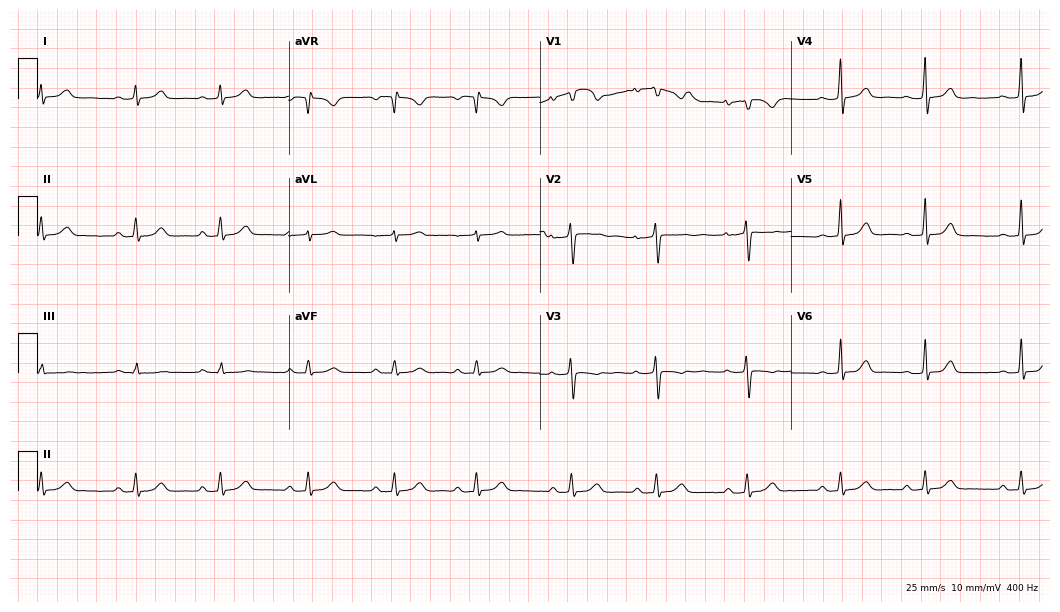
Electrocardiogram, a woman, 29 years old. Overall reading on record: normal ECG.